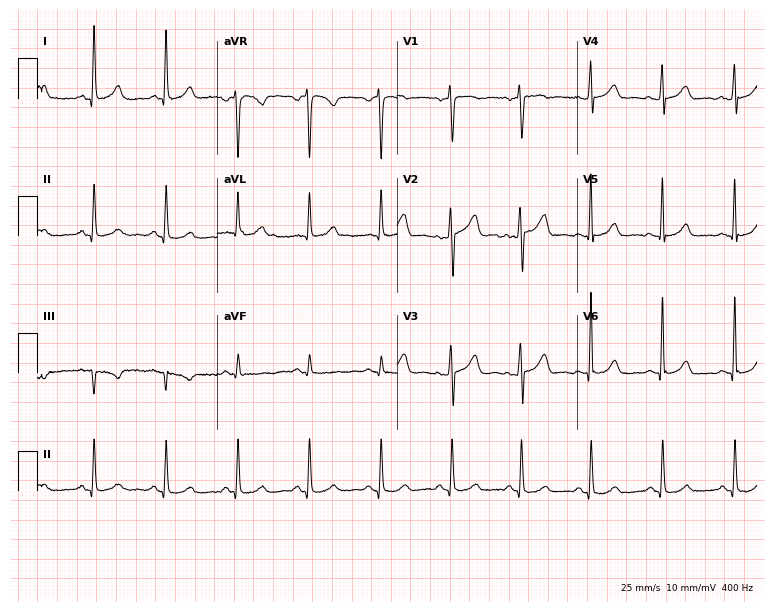
12-lead ECG (7.3-second recording at 400 Hz) from a woman, 57 years old. Labelled as a normal ECG.